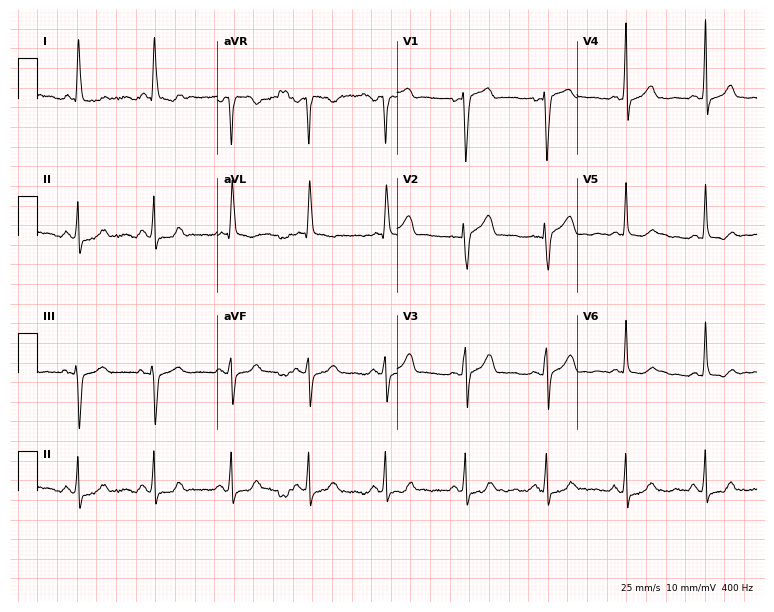
12-lead ECG (7.3-second recording at 400 Hz) from a 70-year-old woman. Screened for six findings — first-degree AV block, right bundle branch block, left bundle branch block, sinus bradycardia, atrial fibrillation, sinus tachycardia — none is recorded.